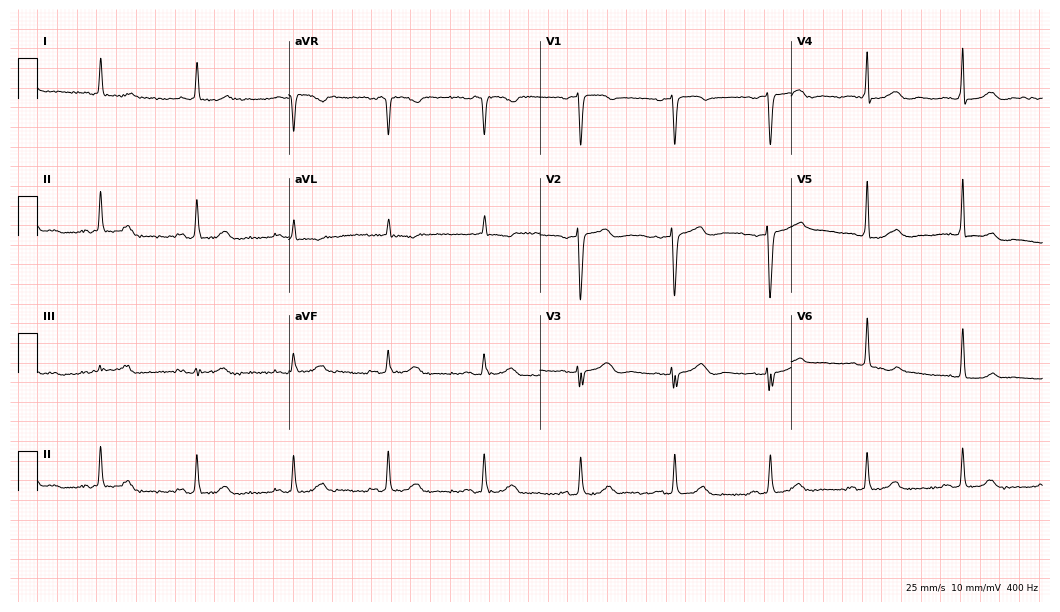
12-lead ECG from a female patient, 84 years old (10.2-second recording at 400 Hz). Recorded interpretation: within normal limits.